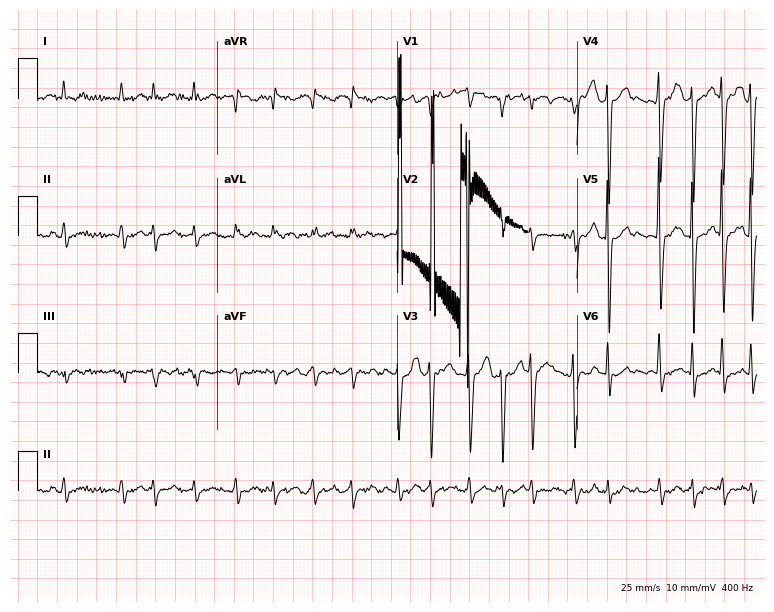
12-lead ECG from a male, 86 years old. Findings include atrial fibrillation (AF).